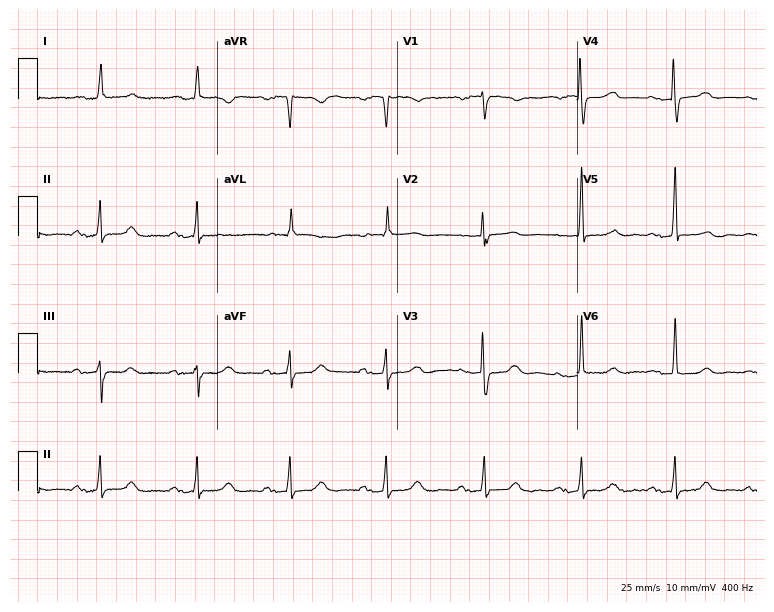
ECG — an 87-year-old female. Screened for six findings — first-degree AV block, right bundle branch block, left bundle branch block, sinus bradycardia, atrial fibrillation, sinus tachycardia — none is recorded. Other findings, if any, are not listed.